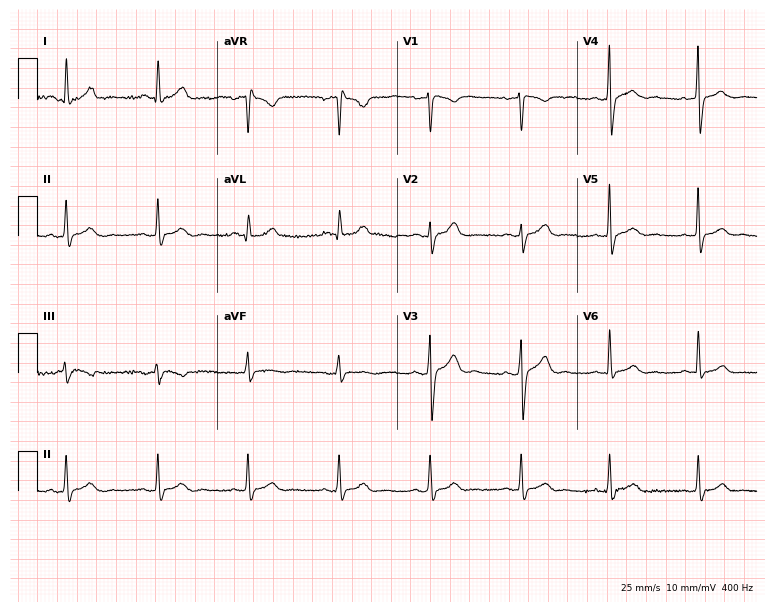
Electrocardiogram (7.3-second recording at 400 Hz), a male patient, 45 years old. Overall reading on record: normal ECG.